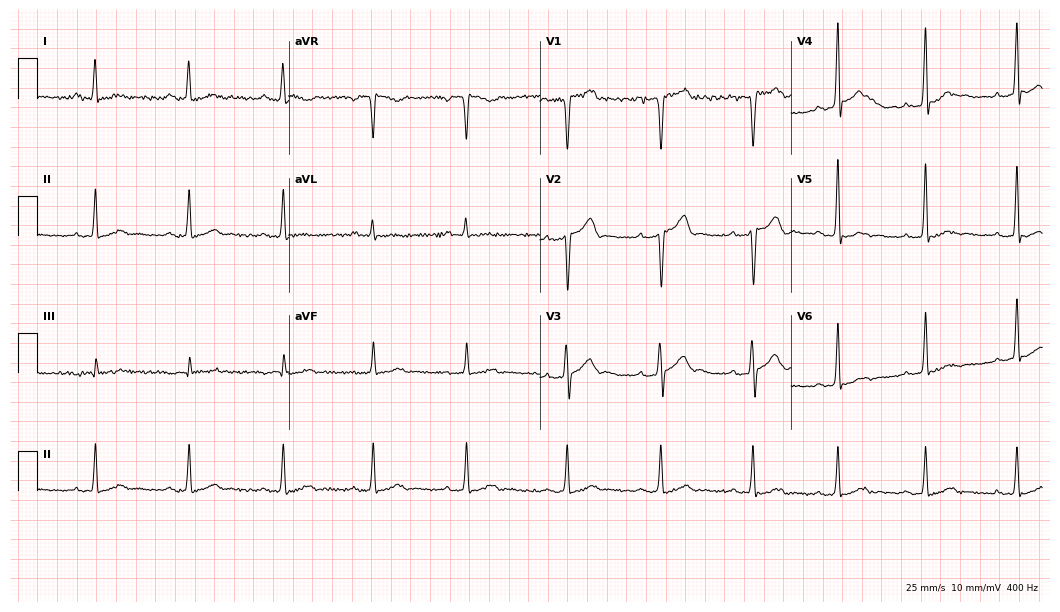
Electrocardiogram (10.2-second recording at 400 Hz), a man, 32 years old. Of the six screened findings (first-degree AV block, right bundle branch block, left bundle branch block, sinus bradycardia, atrial fibrillation, sinus tachycardia), none is recorded.